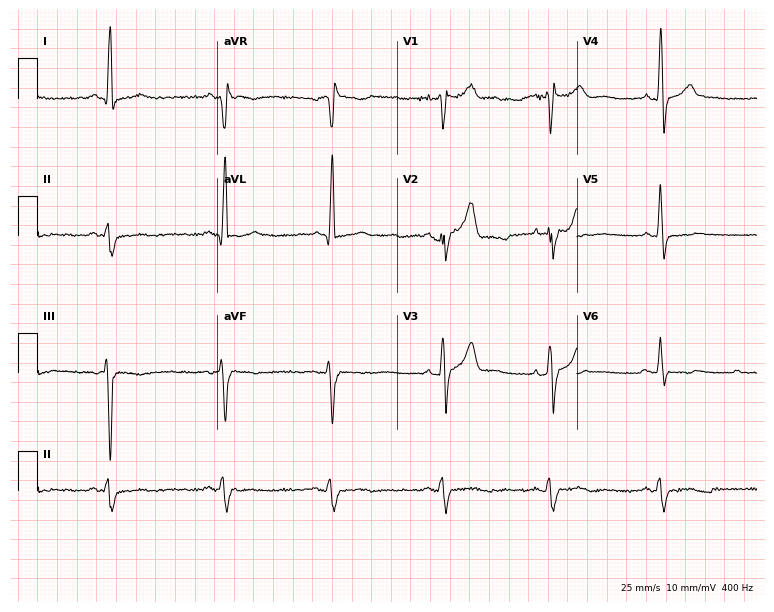
12-lead ECG from a man, 71 years old. No first-degree AV block, right bundle branch block, left bundle branch block, sinus bradycardia, atrial fibrillation or sinus tachycardia recorded for this tracing.